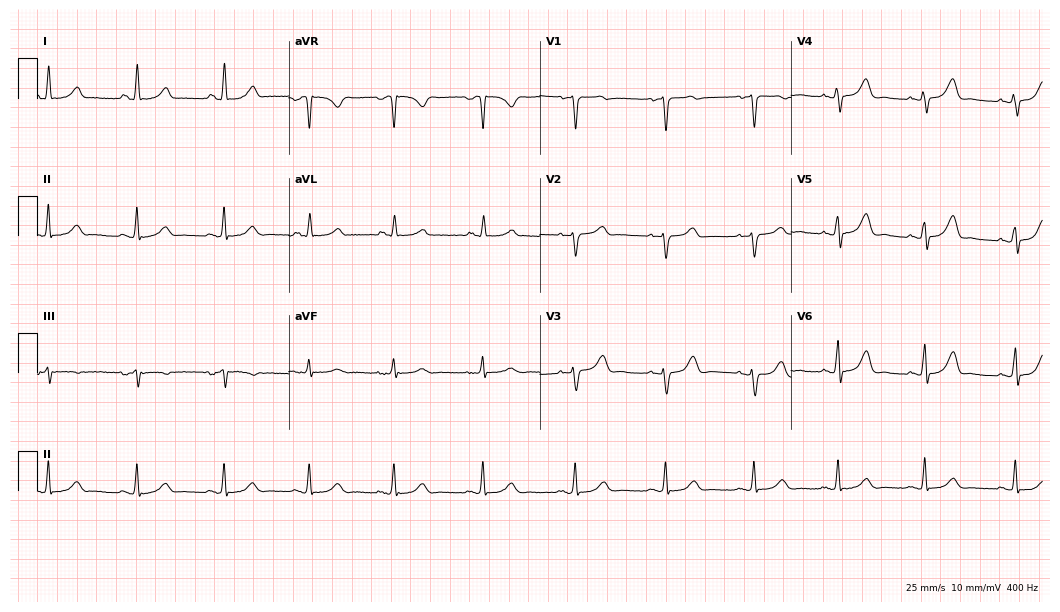
12-lead ECG from a female, 47 years old. Labelled as a normal ECG.